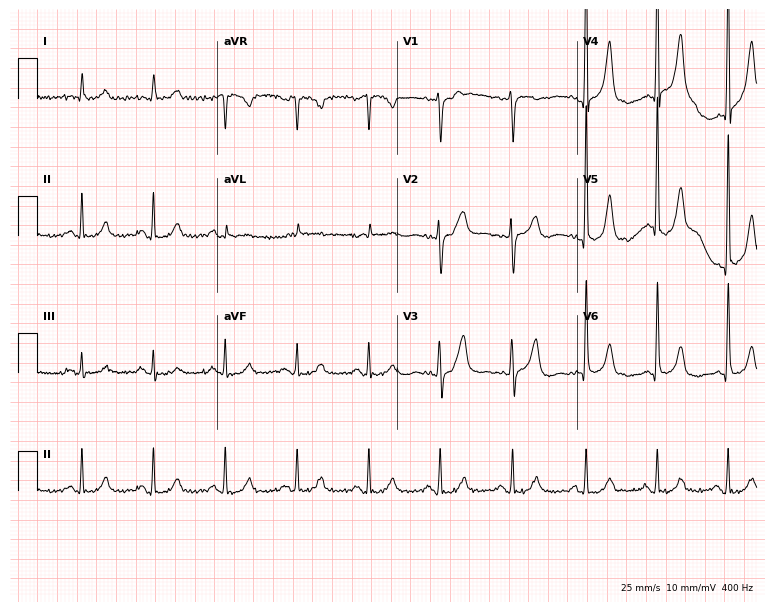
Standard 12-lead ECG recorded from a 77-year-old male (7.3-second recording at 400 Hz). None of these six findings is recorded: first-degree AV block, right bundle branch block (RBBB), left bundle branch block (LBBB), sinus bradycardia, atrial fibrillation (AF), sinus tachycardia. Only these six findings were labelled.